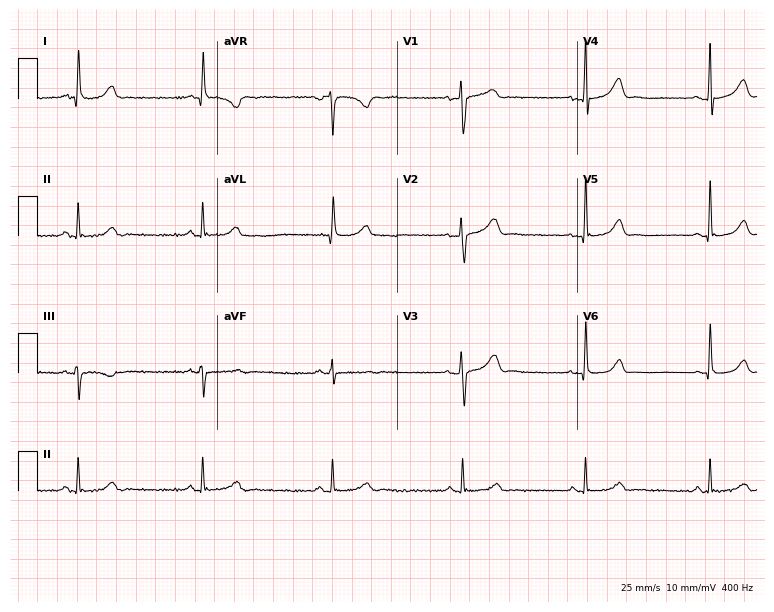
Electrocardiogram (7.3-second recording at 400 Hz), a 57-year-old female. Interpretation includes sinus bradycardia (a sinus rate of 50 beats per minute or less).